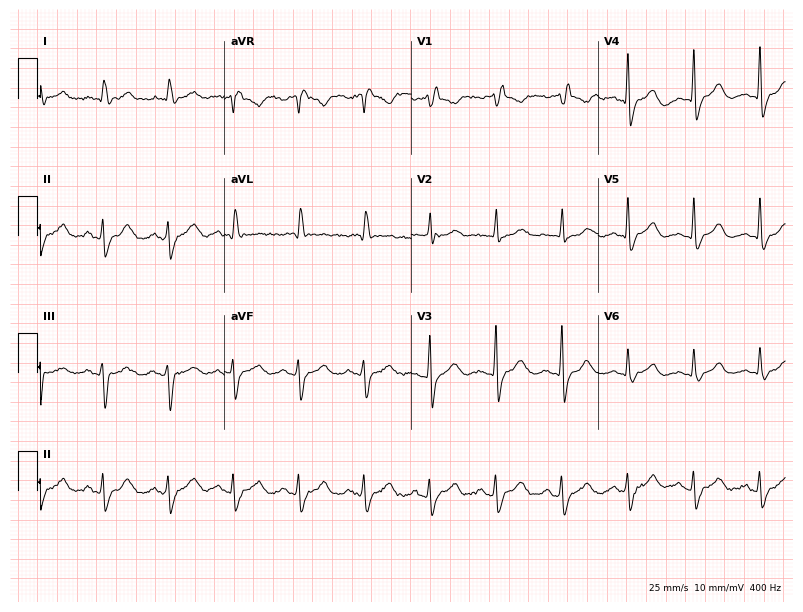
Resting 12-lead electrocardiogram (7.6-second recording at 400 Hz). Patient: a 76-year-old woman. None of these six findings is recorded: first-degree AV block, right bundle branch block, left bundle branch block, sinus bradycardia, atrial fibrillation, sinus tachycardia.